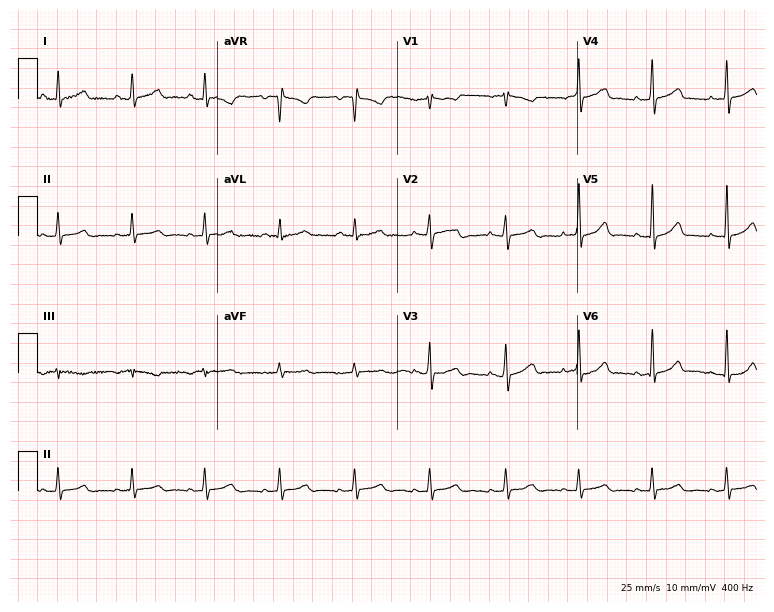
12-lead ECG from a 23-year-old female (7.3-second recording at 400 Hz). No first-degree AV block, right bundle branch block, left bundle branch block, sinus bradycardia, atrial fibrillation or sinus tachycardia recorded for this tracing.